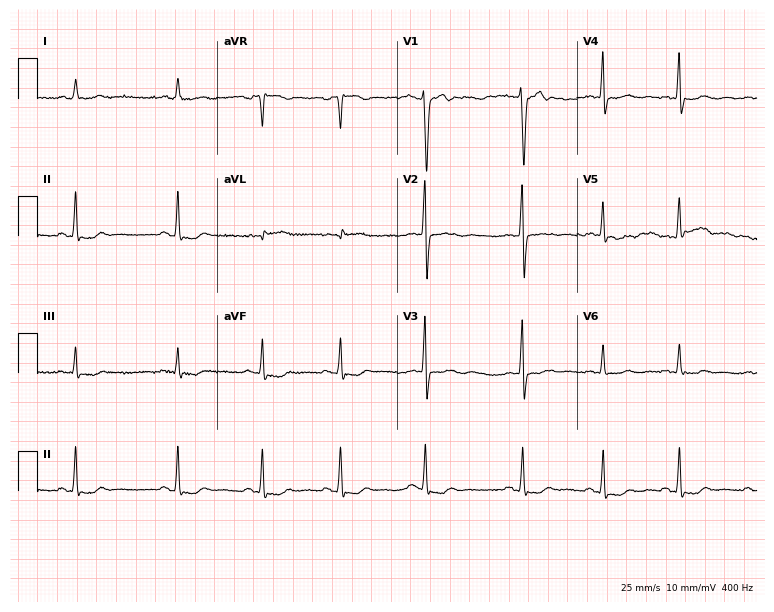
Resting 12-lead electrocardiogram. Patient: a female, 44 years old. None of these six findings is recorded: first-degree AV block, right bundle branch block, left bundle branch block, sinus bradycardia, atrial fibrillation, sinus tachycardia. Findings outside these six are not listed.